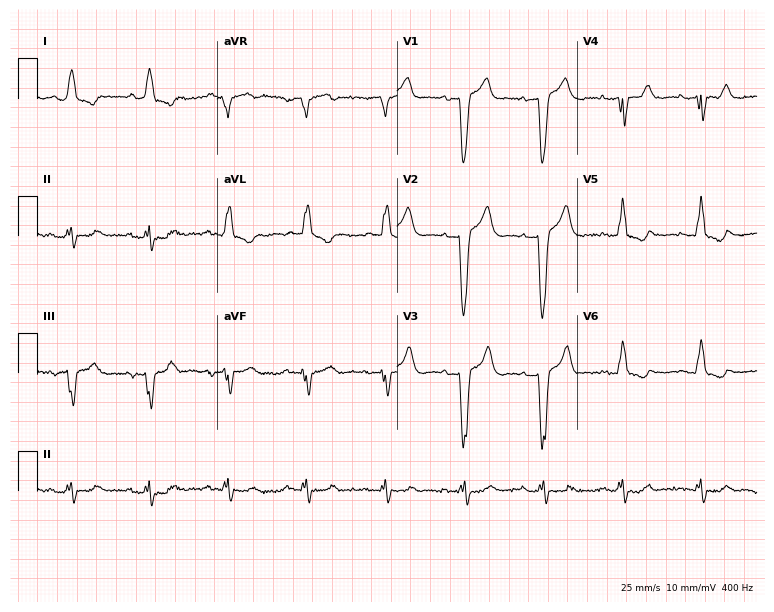
Resting 12-lead electrocardiogram (7.3-second recording at 400 Hz). Patient: a 77-year-old male. The tracing shows left bundle branch block.